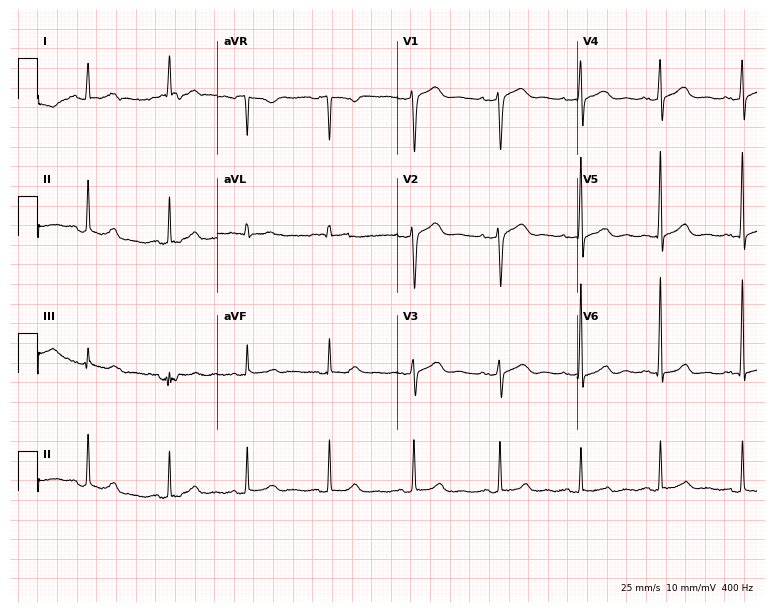
Resting 12-lead electrocardiogram (7.3-second recording at 400 Hz). Patient: a female, 67 years old. Read as a normal ECG.